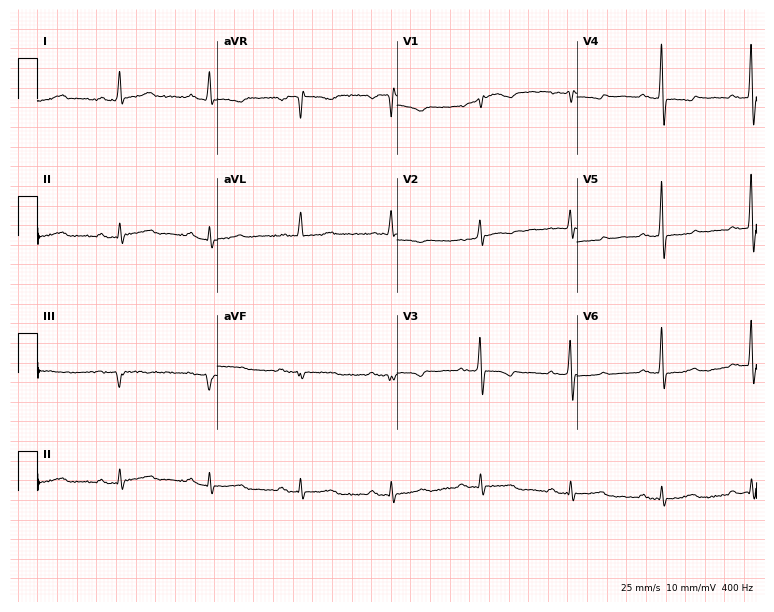
Standard 12-lead ECG recorded from a 62-year-old woman. None of these six findings is recorded: first-degree AV block, right bundle branch block (RBBB), left bundle branch block (LBBB), sinus bradycardia, atrial fibrillation (AF), sinus tachycardia.